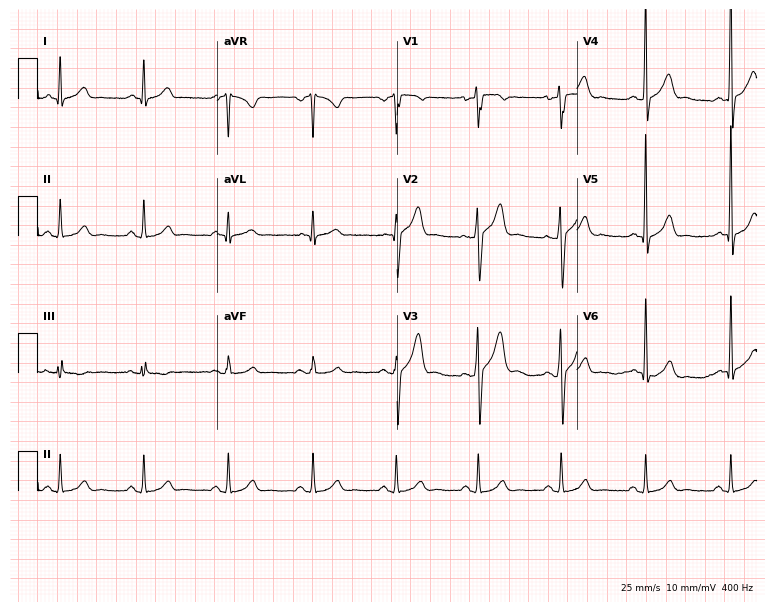
Electrocardiogram (7.3-second recording at 400 Hz), a 44-year-old man. Overall reading on record: normal ECG.